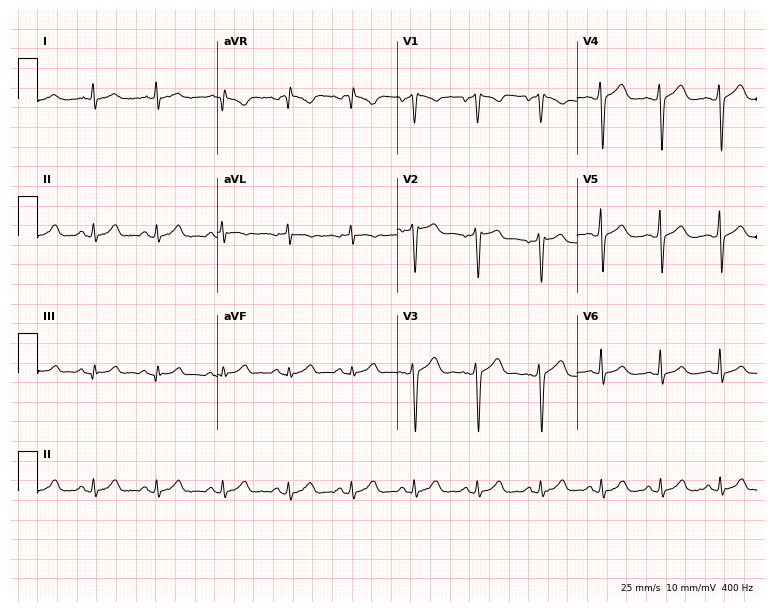
Electrocardiogram (7.3-second recording at 400 Hz), a male patient, 32 years old. Of the six screened findings (first-degree AV block, right bundle branch block (RBBB), left bundle branch block (LBBB), sinus bradycardia, atrial fibrillation (AF), sinus tachycardia), none is recorded. Only these six findings were labelled.